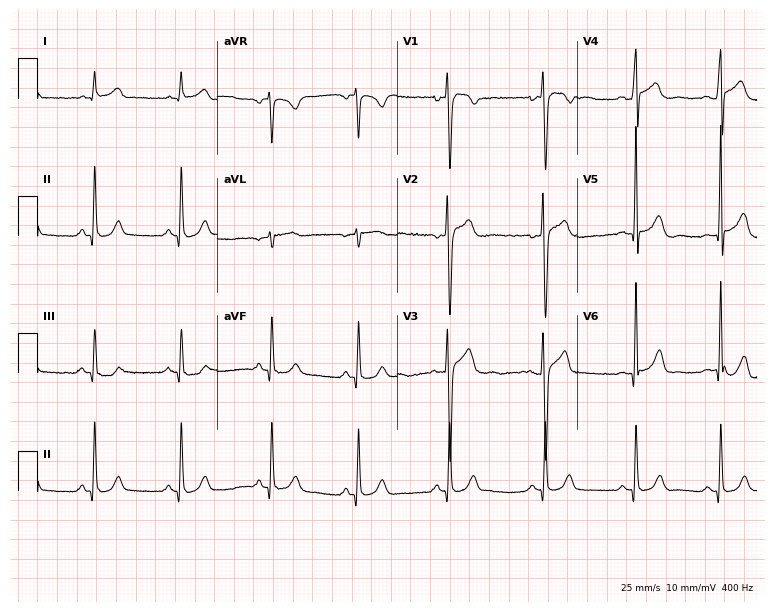
12-lead ECG (7.3-second recording at 400 Hz) from a 28-year-old male patient. Labelled as a normal ECG.